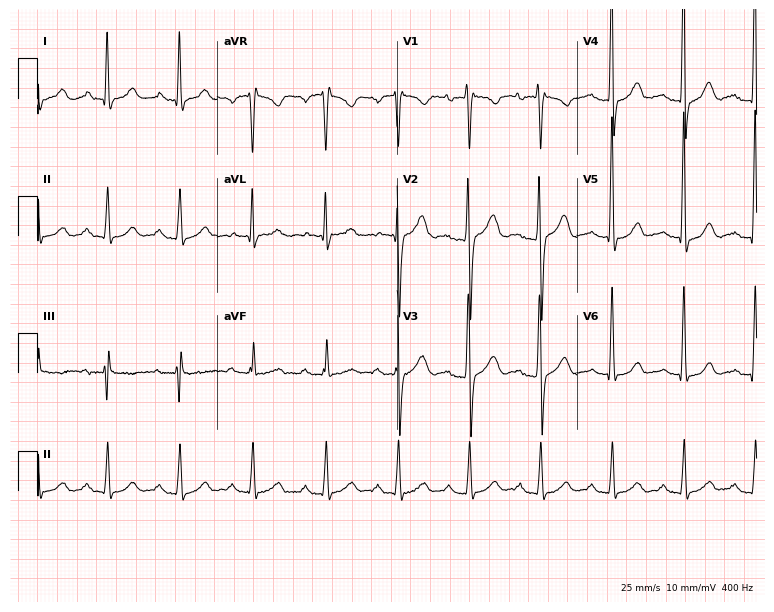
Standard 12-lead ECG recorded from a 27-year-old man. The tracing shows first-degree AV block.